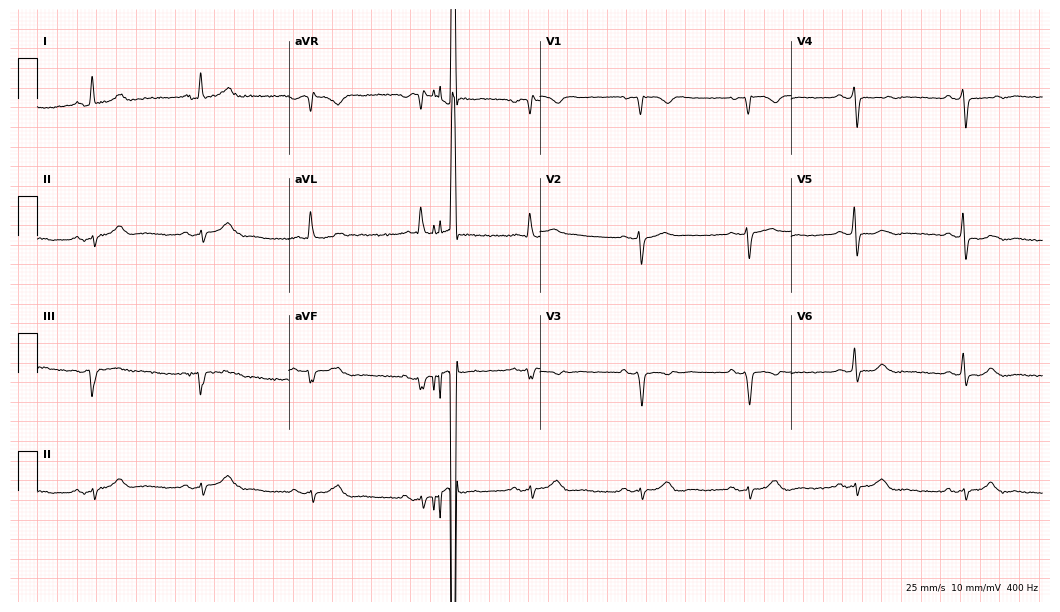
Standard 12-lead ECG recorded from a 65-year-old man. None of these six findings is recorded: first-degree AV block, right bundle branch block, left bundle branch block, sinus bradycardia, atrial fibrillation, sinus tachycardia.